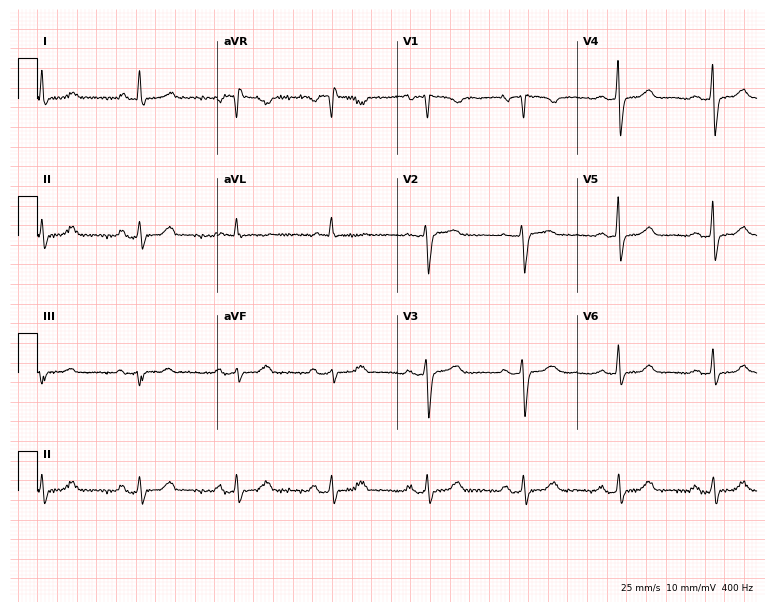
ECG (7.3-second recording at 400 Hz) — a 72-year-old female patient. Labelled as a normal ECG.